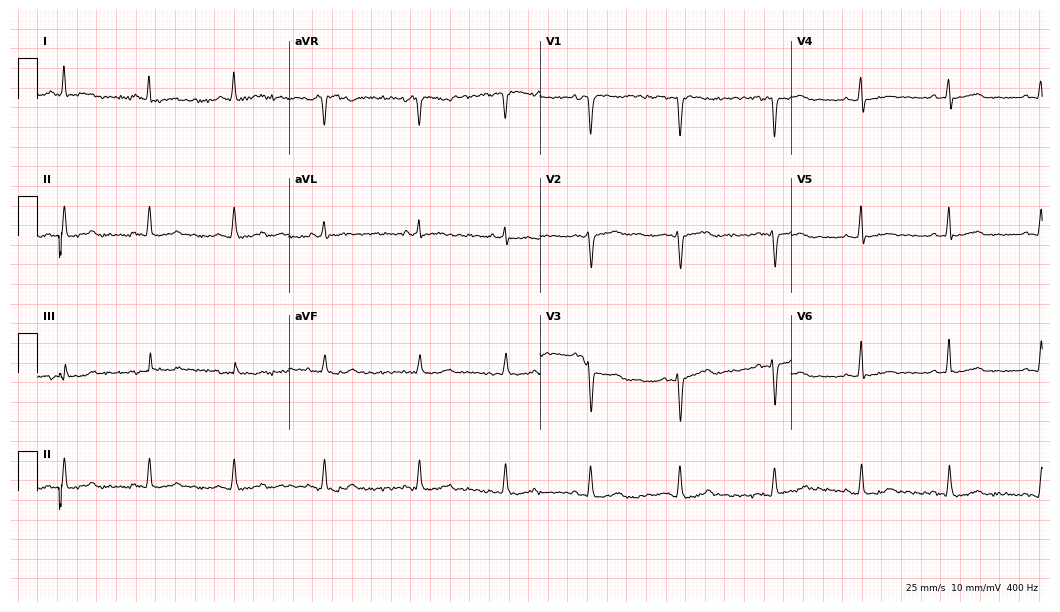
12-lead ECG from a female patient, 43 years old (10.2-second recording at 400 Hz). No first-degree AV block, right bundle branch block (RBBB), left bundle branch block (LBBB), sinus bradycardia, atrial fibrillation (AF) or sinus tachycardia recorded for this tracing. Only these six findings were labelled.